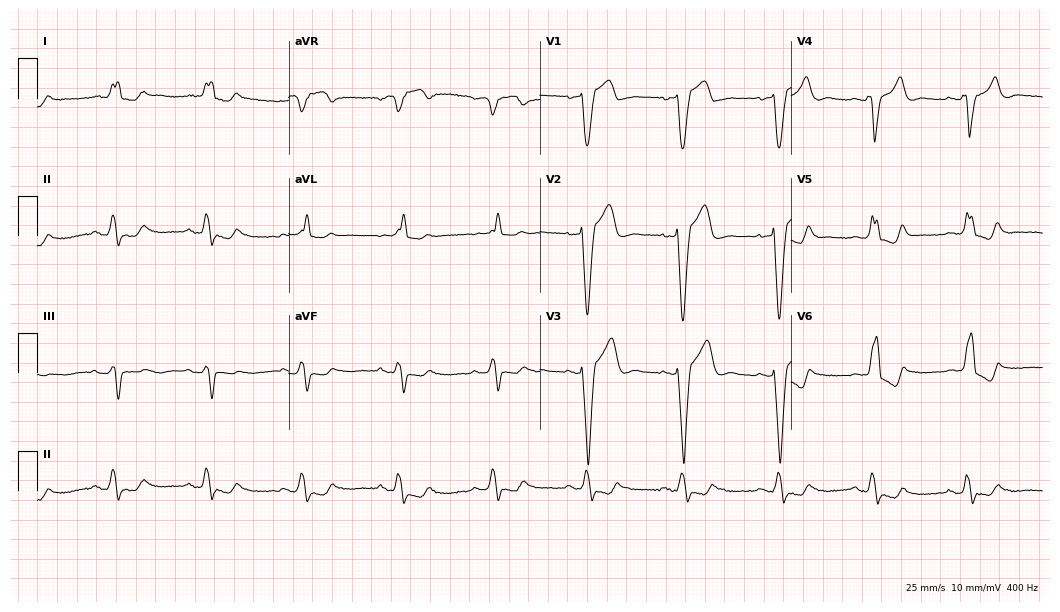
Electrocardiogram (10.2-second recording at 400 Hz), a man, 63 years old. Interpretation includes left bundle branch block.